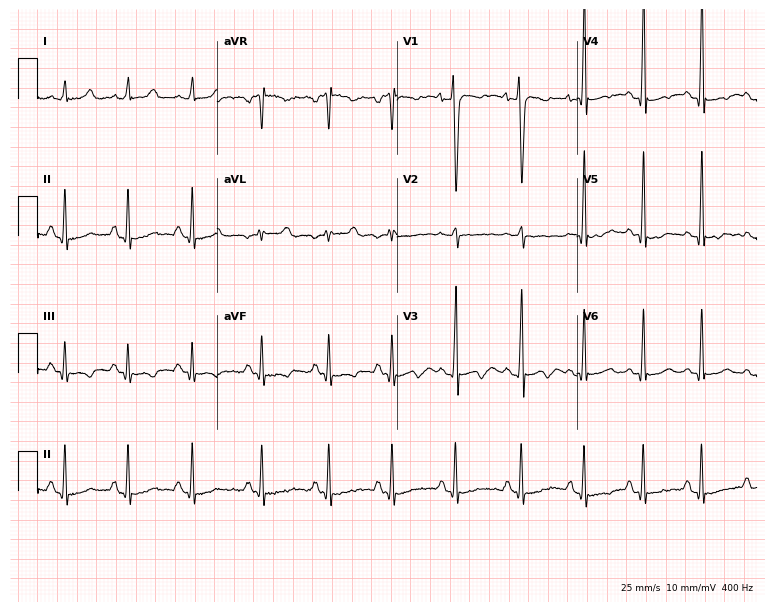
Standard 12-lead ECG recorded from a male patient, 22 years old (7.3-second recording at 400 Hz). None of these six findings is recorded: first-degree AV block, right bundle branch block (RBBB), left bundle branch block (LBBB), sinus bradycardia, atrial fibrillation (AF), sinus tachycardia. Only these six findings were labelled.